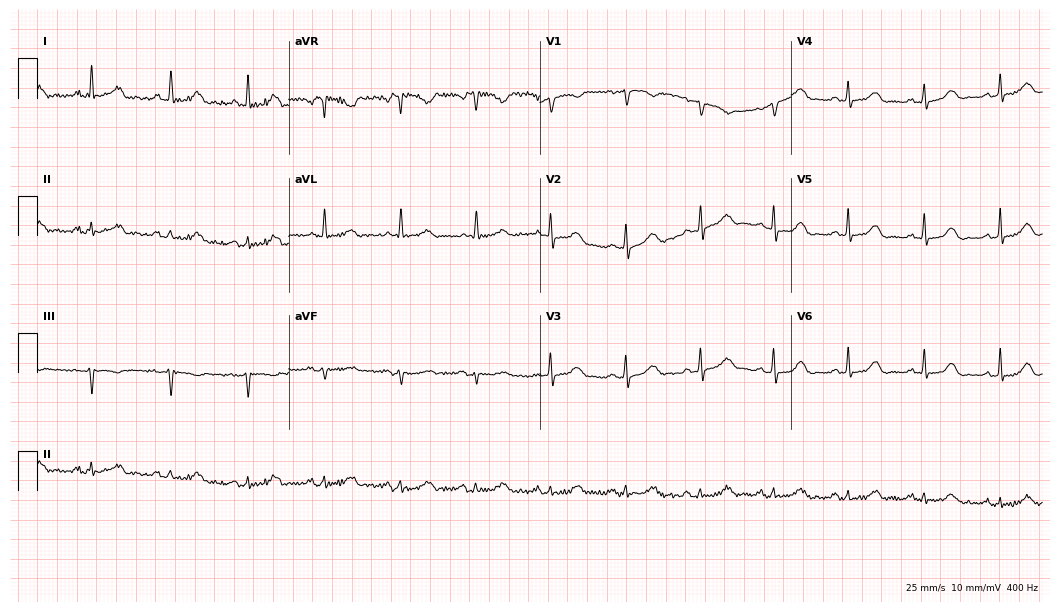
ECG (10.2-second recording at 400 Hz) — an 84-year-old female patient. Labelled as a normal ECG.